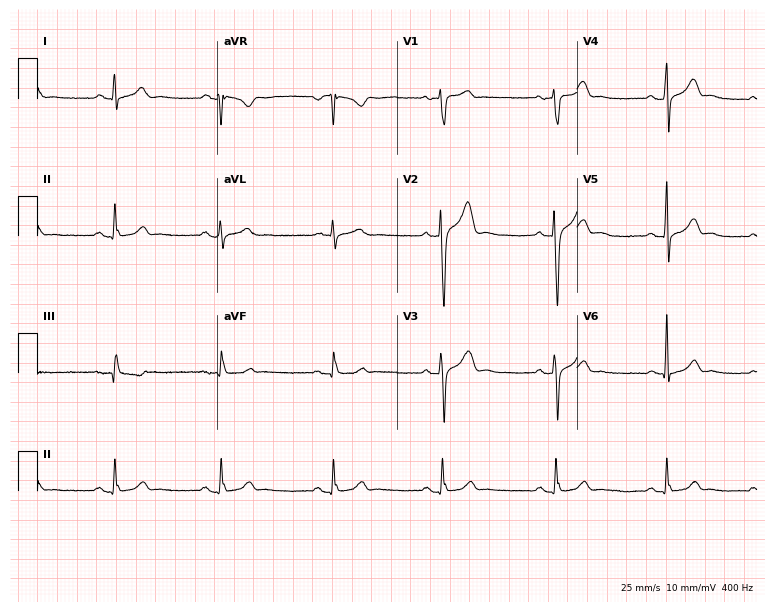
12-lead ECG from a 37-year-old male (7.3-second recording at 400 Hz). No first-degree AV block, right bundle branch block (RBBB), left bundle branch block (LBBB), sinus bradycardia, atrial fibrillation (AF) or sinus tachycardia recorded for this tracing.